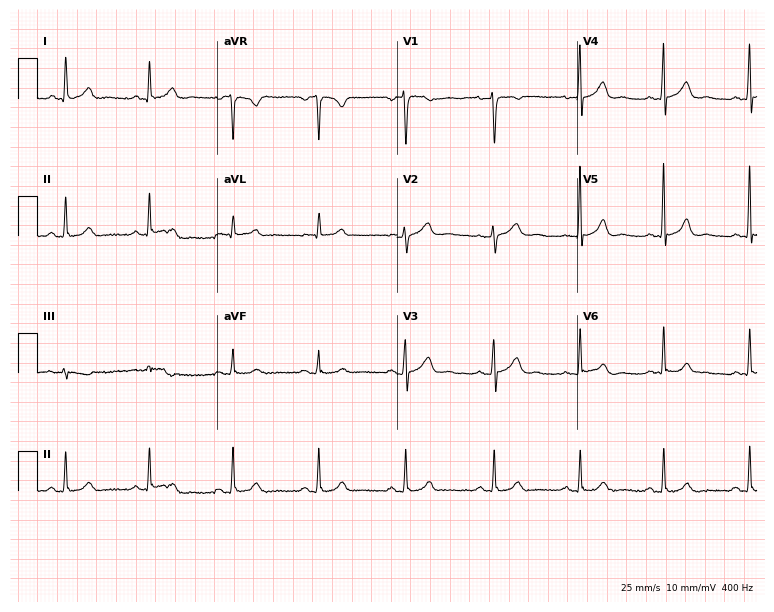
Electrocardiogram (7.3-second recording at 400 Hz), a female patient, 42 years old. Overall reading on record: normal ECG.